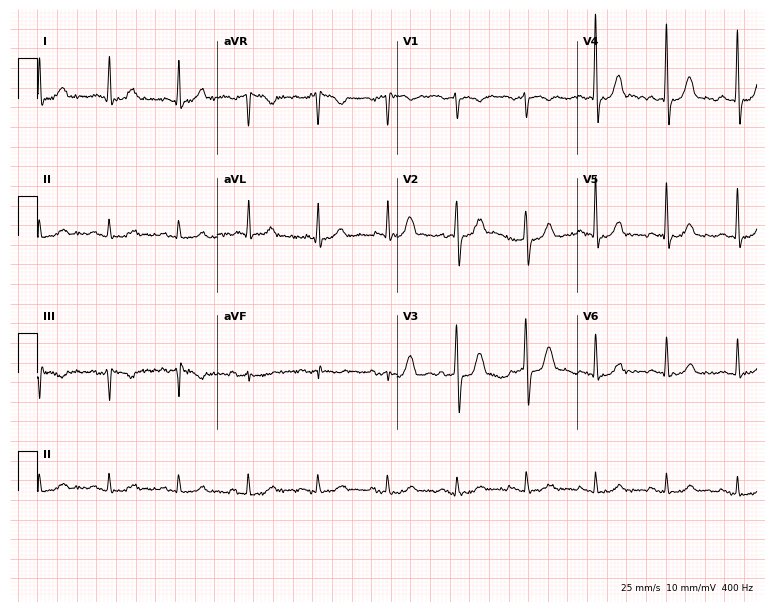
12-lead ECG (7.3-second recording at 400 Hz) from a male, 73 years old. Labelled as a normal ECG.